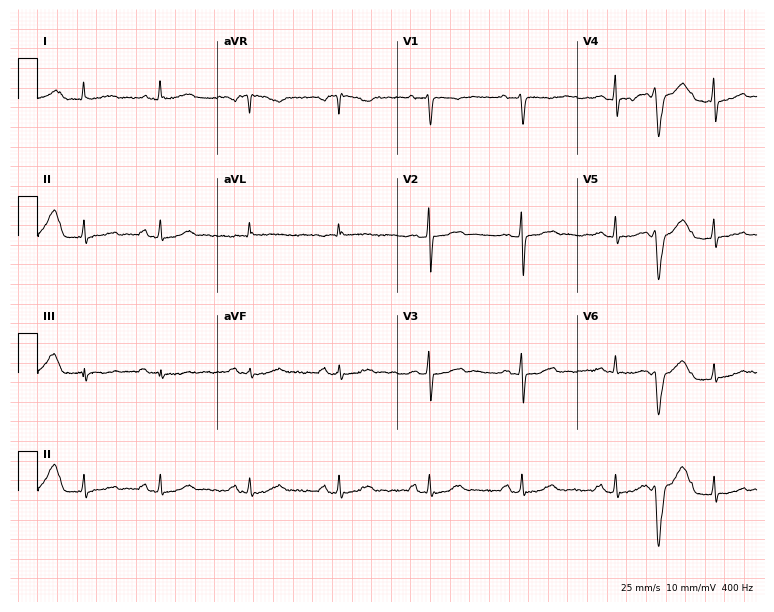
12-lead ECG from a 61-year-old woman. Screened for six findings — first-degree AV block, right bundle branch block (RBBB), left bundle branch block (LBBB), sinus bradycardia, atrial fibrillation (AF), sinus tachycardia — none is recorded. Findings outside these six are not listed.